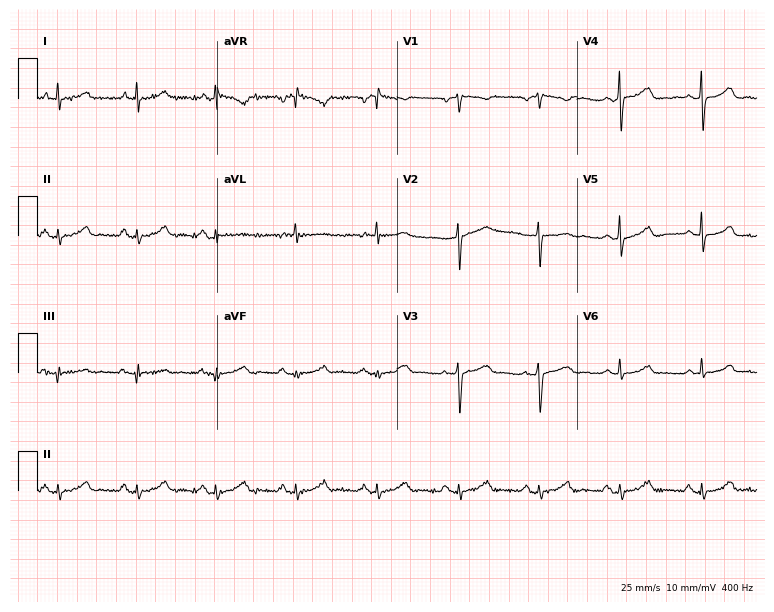
Standard 12-lead ECG recorded from a woman, 57 years old. Read as a normal ECG.